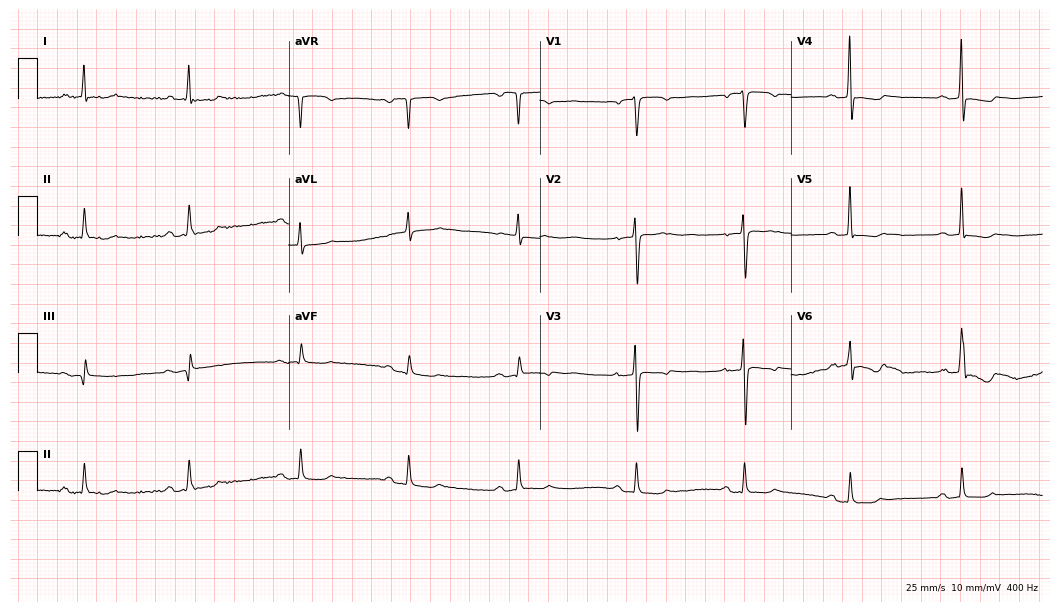
Resting 12-lead electrocardiogram. Patient: a 73-year-old female. None of these six findings is recorded: first-degree AV block, right bundle branch block, left bundle branch block, sinus bradycardia, atrial fibrillation, sinus tachycardia. Only these six findings were labelled.